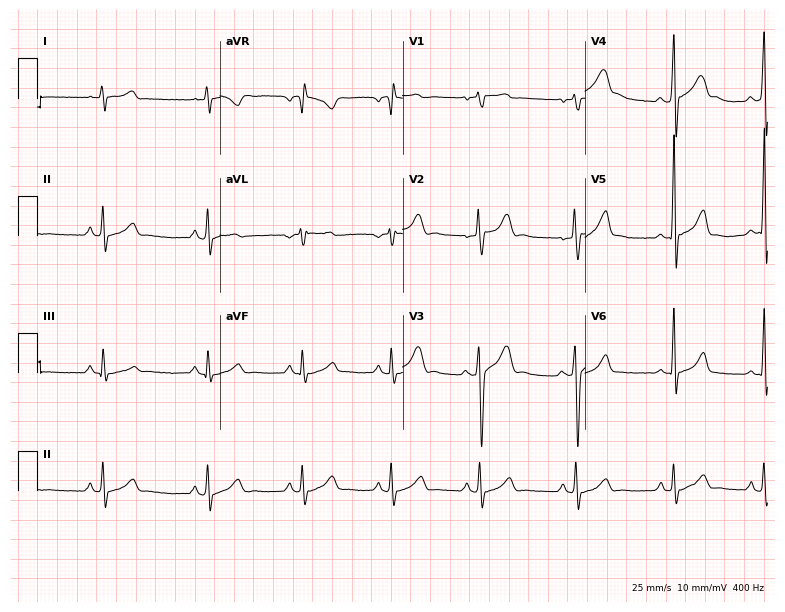
Resting 12-lead electrocardiogram (7.4-second recording at 400 Hz). Patient: a male, 20 years old. Read as a normal ECG.